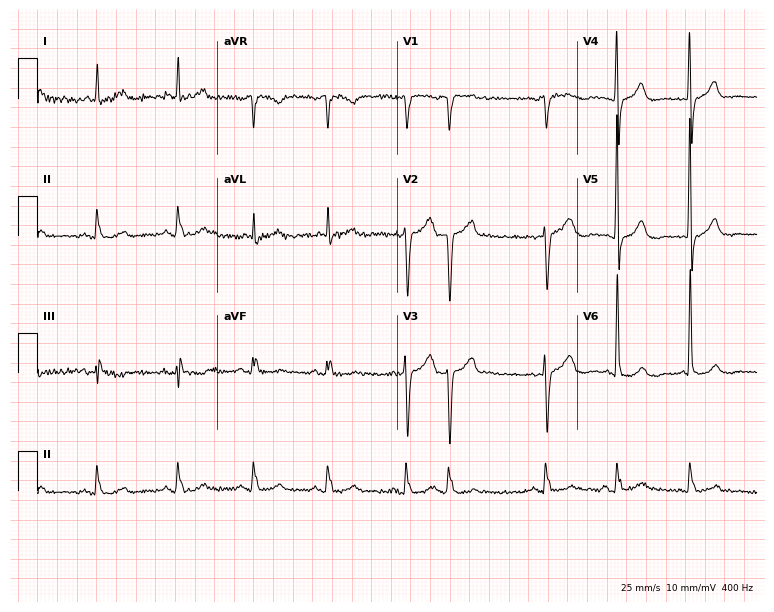
12-lead ECG from a male, 67 years old. No first-degree AV block, right bundle branch block (RBBB), left bundle branch block (LBBB), sinus bradycardia, atrial fibrillation (AF) or sinus tachycardia recorded for this tracing.